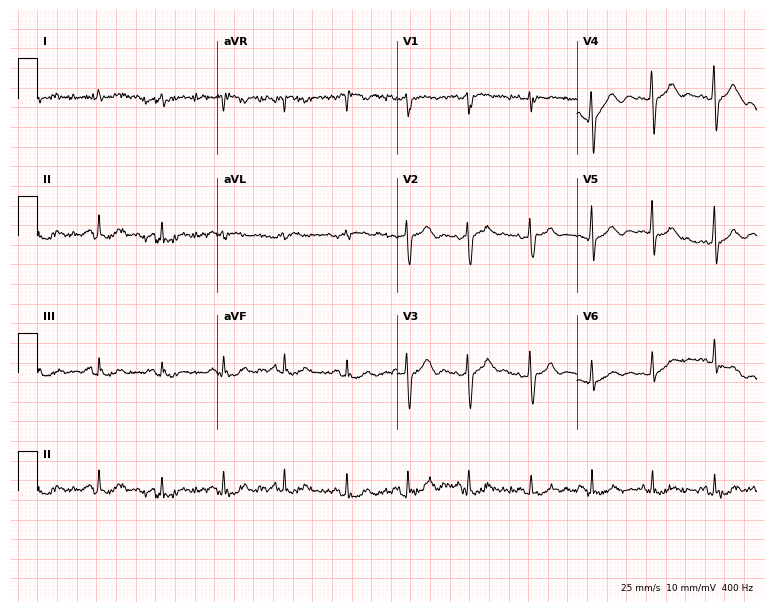
Resting 12-lead electrocardiogram. Patient: a male, 77 years old. None of these six findings is recorded: first-degree AV block, right bundle branch block, left bundle branch block, sinus bradycardia, atrial fibrillation, sinus tachycardia.